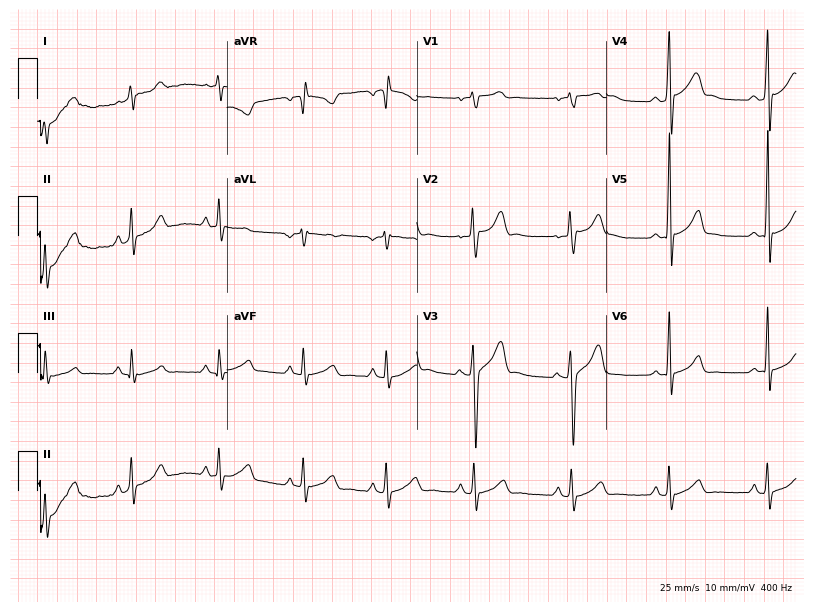
Electrocardiogram, a 20-year-old male patient. Overall reading on record: normal ECG.